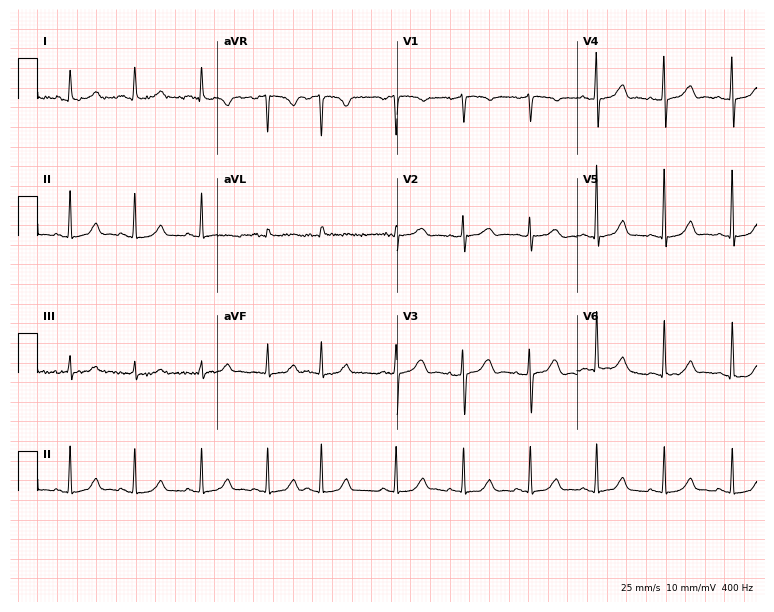
12-lead ECG (7.3-second recording at 400 Hz) from a woman, 70 years old. Screened for six findings — first-degree AV block, right bundle branch block, left bundle branch block, sinus bradycardia, atrial fibrillation, sinus tachycardia — none is recorded.